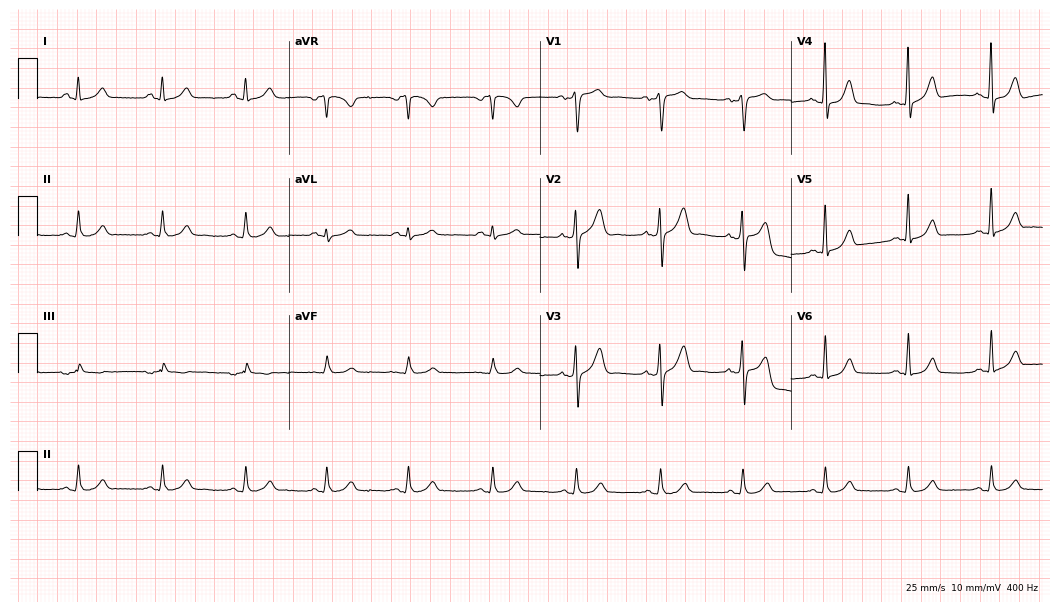
ECG (10.2-second recording at 400 Hz) — a male, 63 years old. Labelled as a normal ECG.